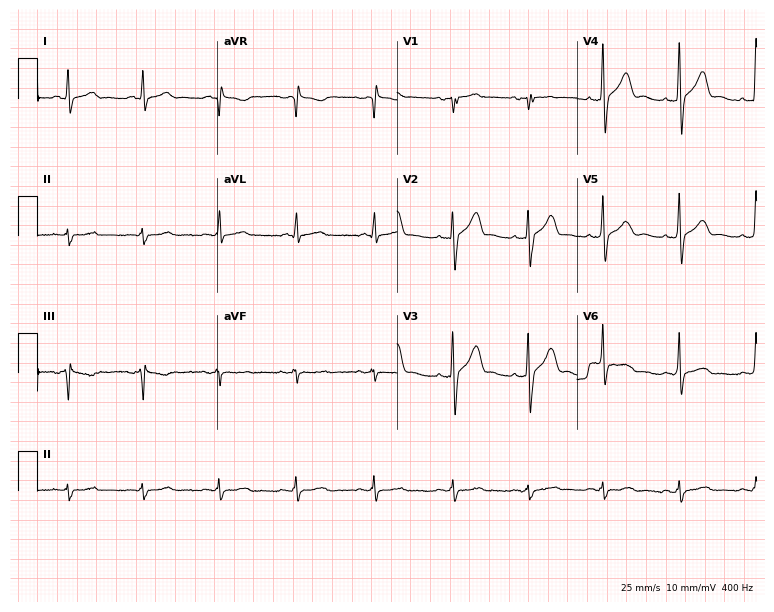
12-lead ECG from a 51-year-old male patient. Screened for six findings — first-degree AV block, right bundle branch block, left bundle branch block, sinus bradycardia, atrial fibrillation, sinus tachycardia — none is recorded.